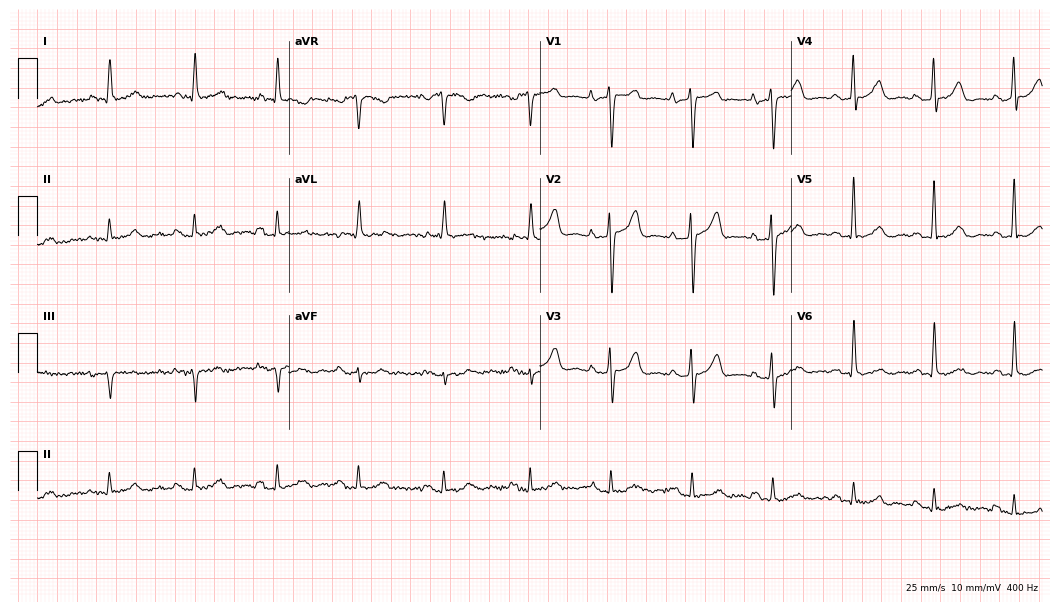
12-lead ECG from a 78-year-old male (10.2-second recording at 400 Hz). No first-degree AV block, right bundle branch block, left bundle branch block, sinus bradycardia, atrial fibrillation or sinus tachycardia recorded for this tracing. Only these six findings were labelled.